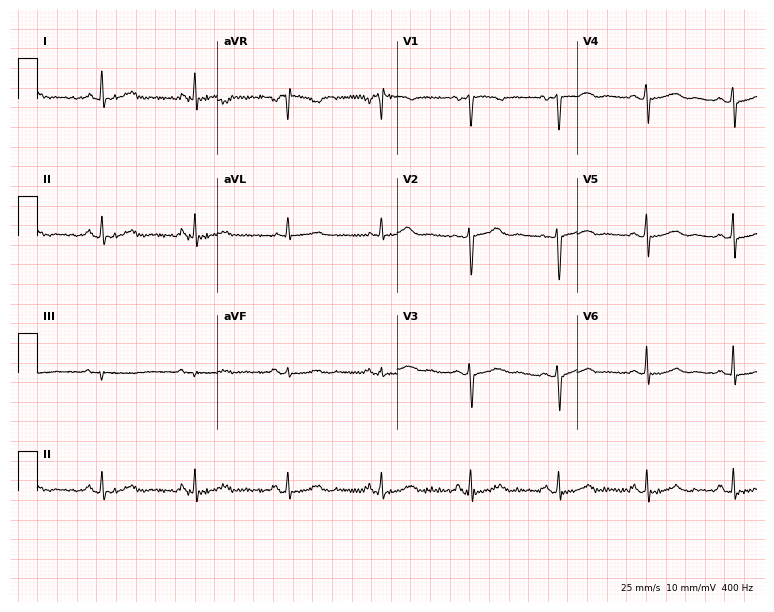
12-lead ECG from a 47-year-old female patient. Labelled as a normal ECG.